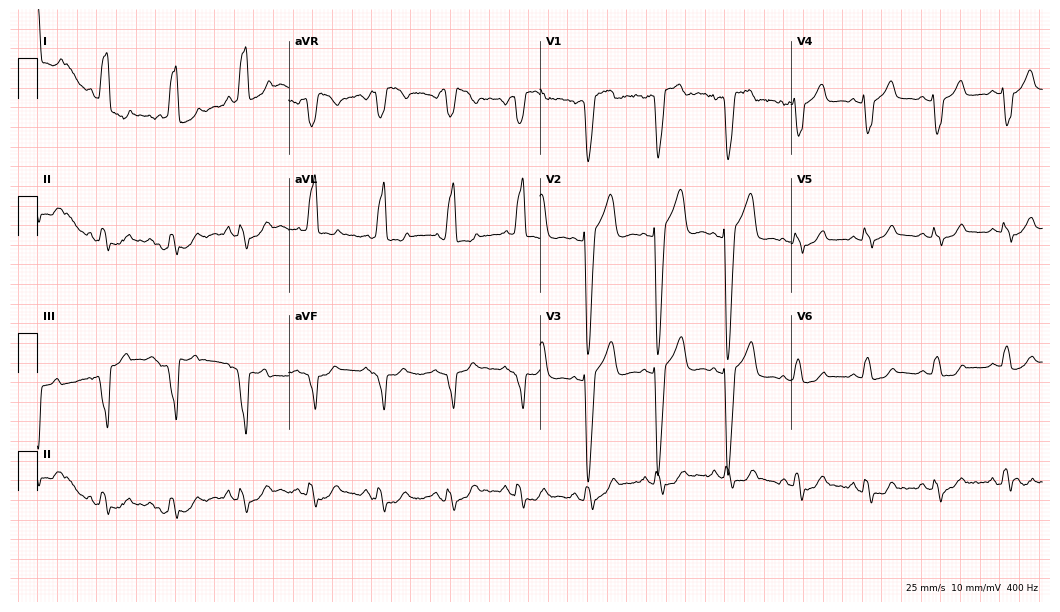
Standard 12-lead ECG recorded from a woman, 79 years old (10.2-second recording at 400 Hz). The tracing shows left bundle branch block.